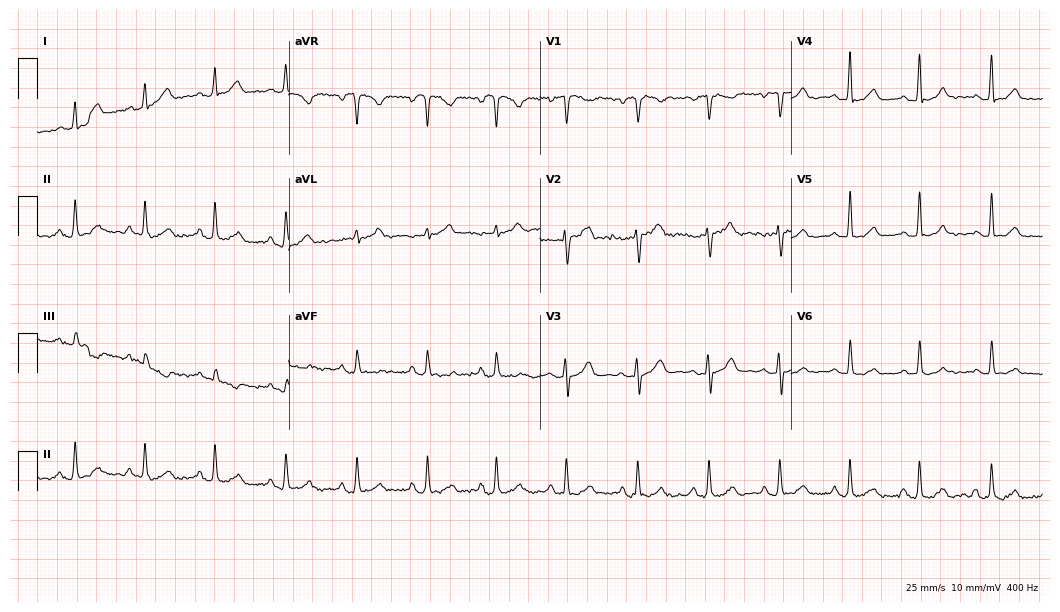
ECG — a 51-year-old female patient. Screened for six findings — first-degree AV block, right bundle branch block, left bundle branch block, sinus bradycardia, atrial fibrillation, sinus tachycardia — none is recorded. Other findings, if any, are not listed.